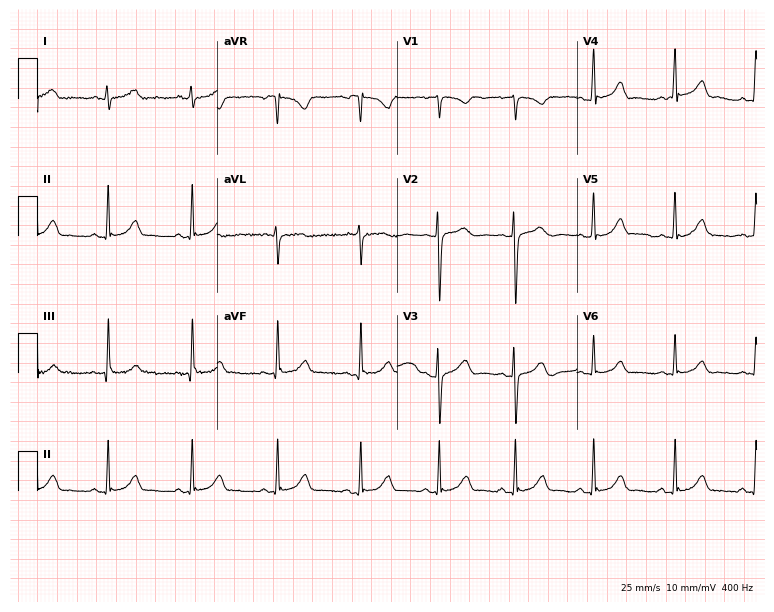
12-lead ECG from a female patient, 25 years old (7.3-second recording at 400 Hz). Recorded interpretation: within normal limits.